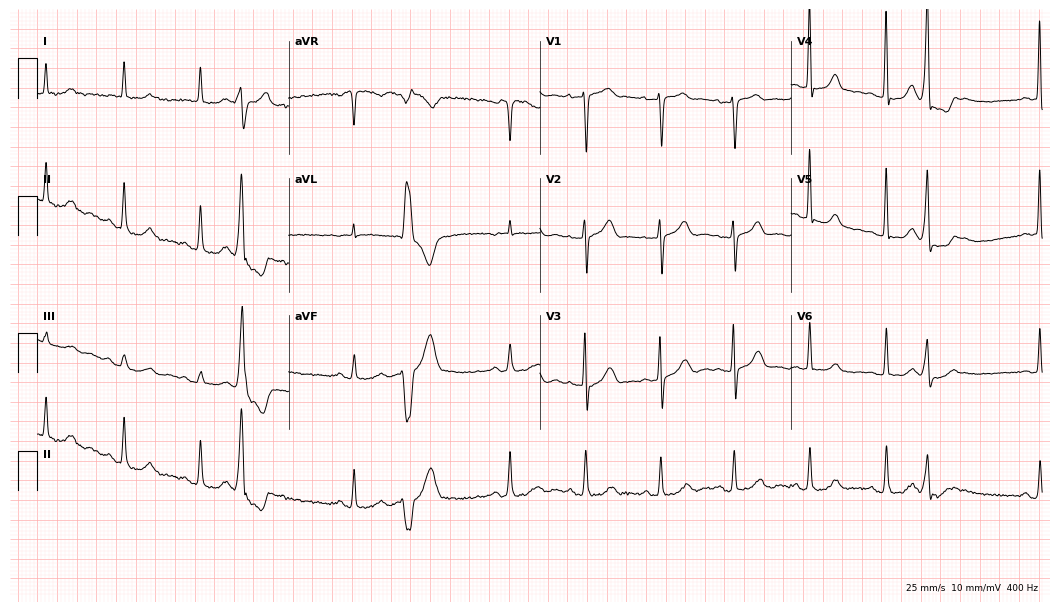
12-lead ECG from a 74-year-old female. Labelled as a normal ECG.